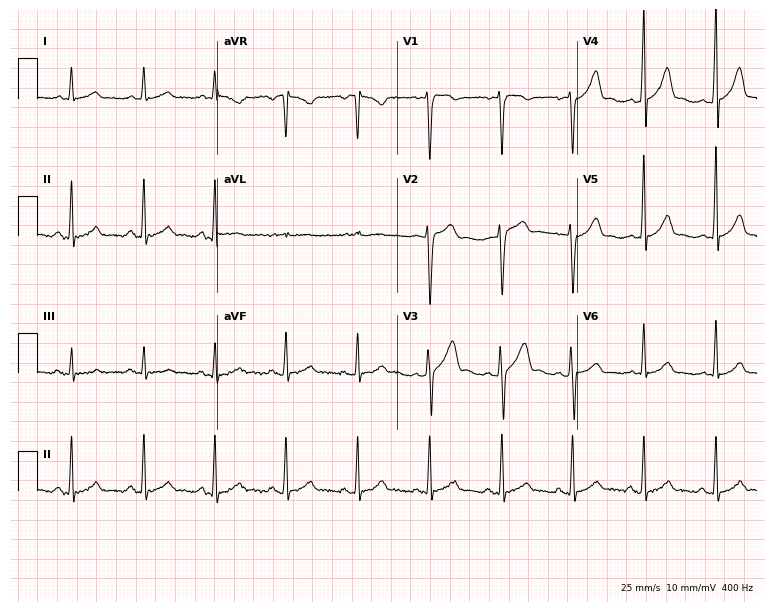
Standard 12-lead ECG recorded from a male, 34 years old (7.3-second recording at 400 Hz). Read as a normal ECG.